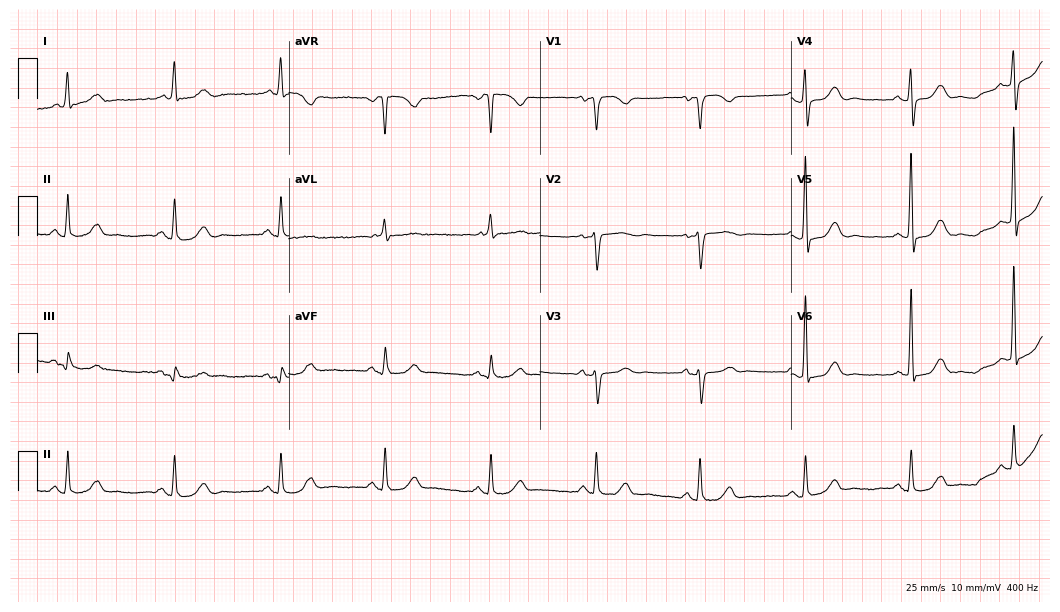
Resting 12-lead electrocardiogram. Patient: a 78-year-old female. None of these six findings is recorded: first-degree AV block, right bundle branch block, left bundle branch block, sinus bradycardia, atrial fibrillation, sinus tachycardia. Other findings, if any, are not listed.